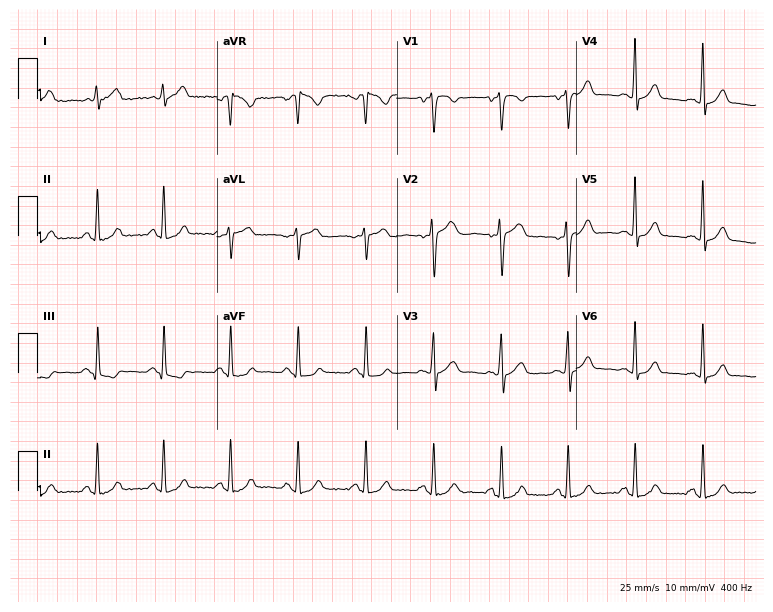
Electrocardiogram (7.3-second recording at 400 Hz), a 23-year-old female patient. Overall reading on record: normal ECG.